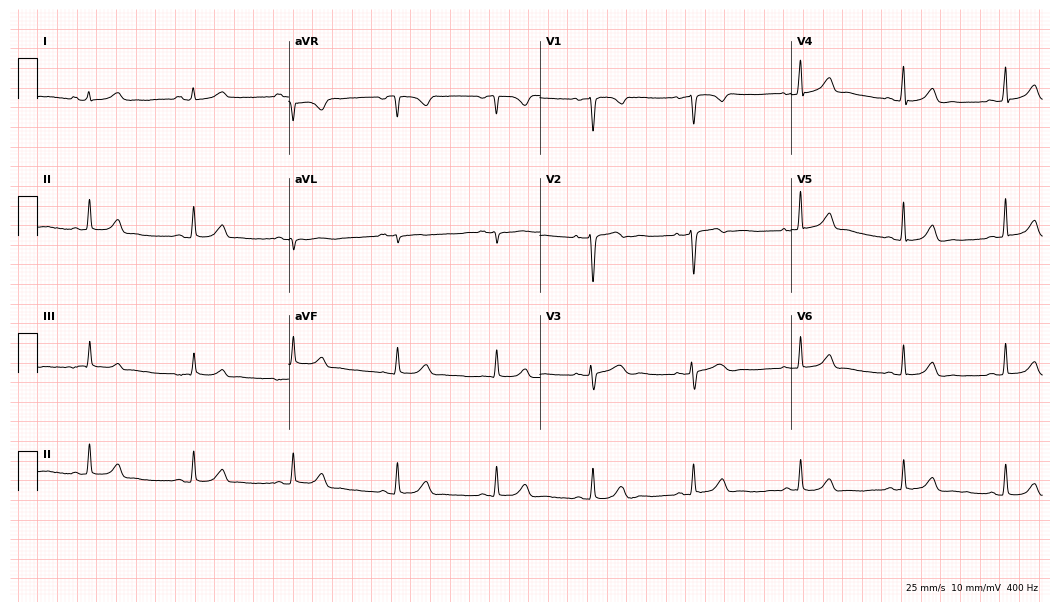
12-lead ECG from a 31-year-old female patient. No first-degree AV block, right bundle branch block, left bundle branch block, sinus bradycardia, atrial fibrillation or sinus tachycardia recorded for this tracing. Other findings, if any, are not listed.